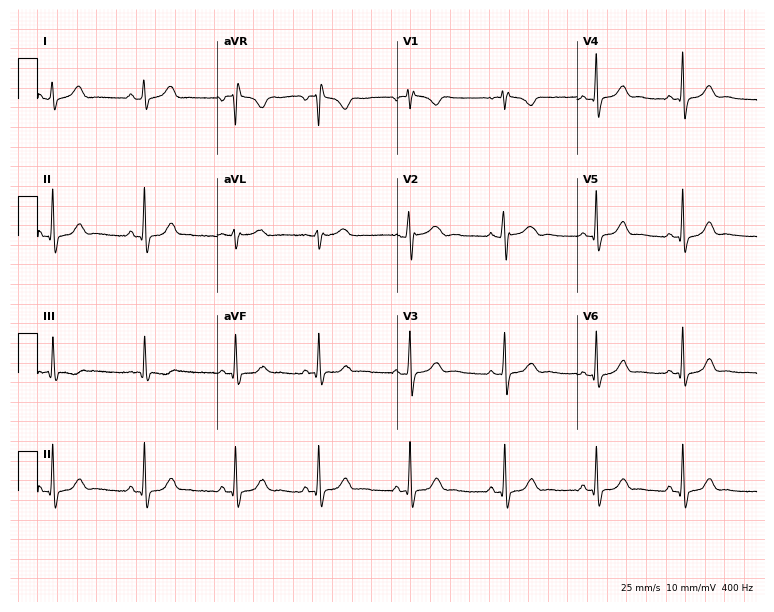
Resting 12-lead electrocardiogram. Patient: a female, 21 years old. Read as a normal ECG.